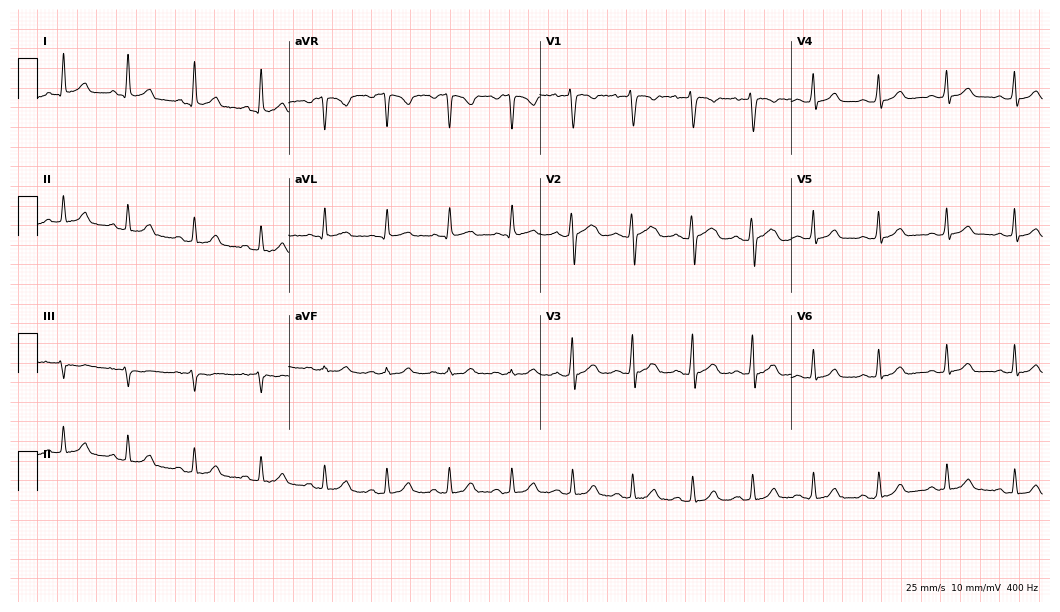
ECG — a woman, 35 years old. Labelled as a normal ECG.